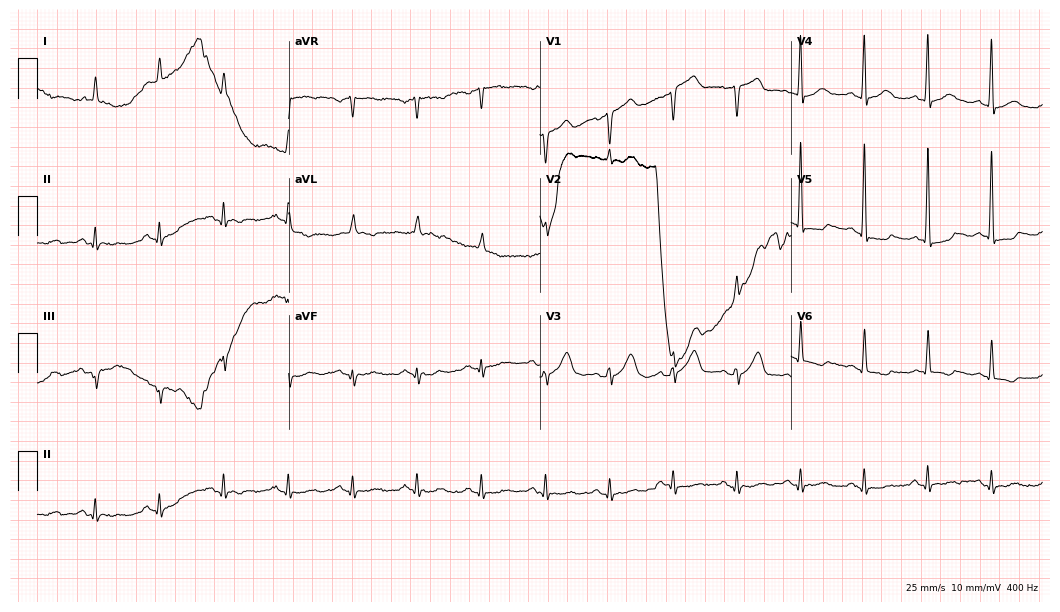
12-lead ECG (10.2-second recording at 400 Hz) from an 83-year-old man. Screened for six findings — first-degree AV block, right bundle branch block, left bundle branch block, sinus bradycardia, atrial fibrillation, sinus tachycardia — none is recorded.